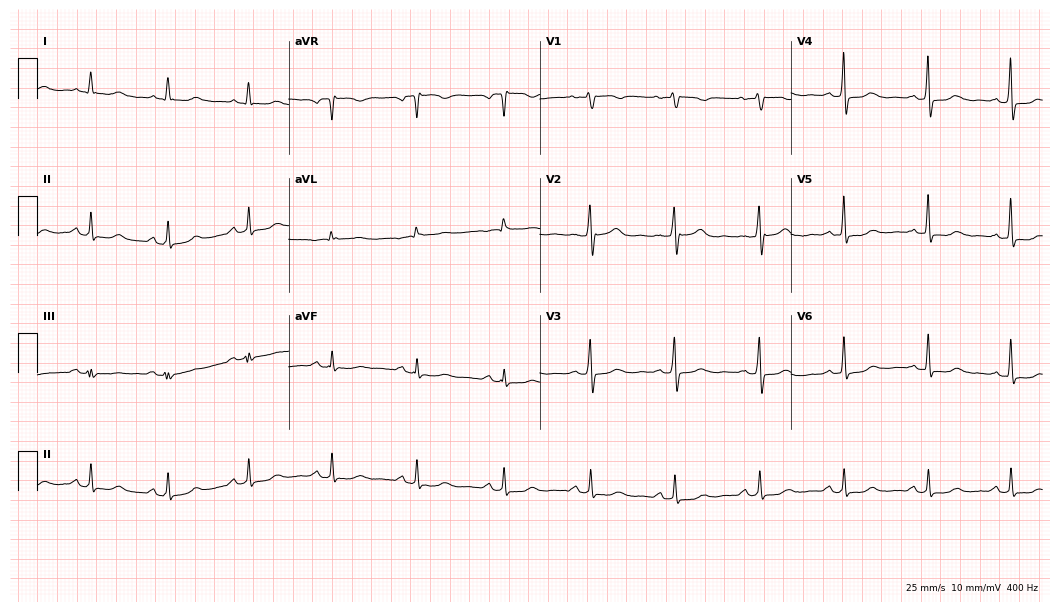
12-lead ECG (10.2-second recording at 400 Hz) from a 60-year-old female patient. Screened for six findings — first-degree AV block, right bundle branch block, left bundle branch block, sinus bradycardia, atrial fibrillation, sinus tachycardia — none is recorded. Other findings, if any, are not listed.